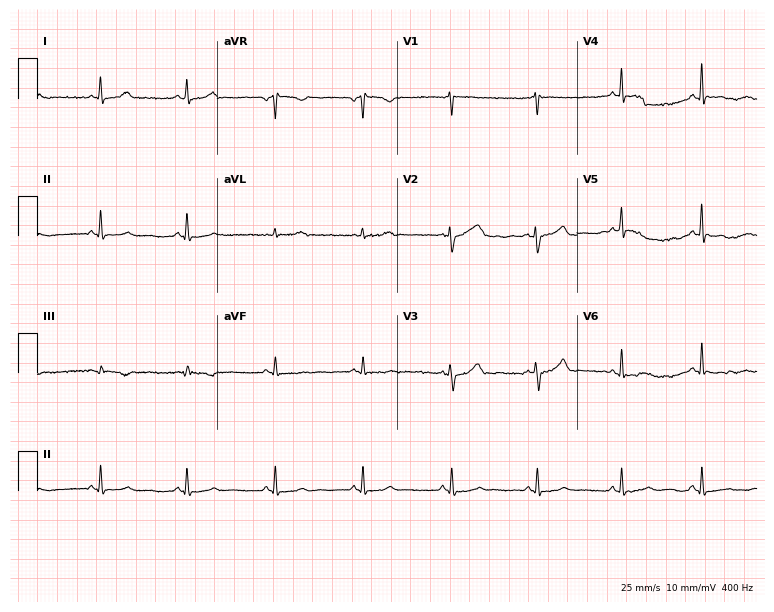
Resting 12-lead electrocardiogram. Patient: a 46-year-old female. None of these six findings is recorded: first-degree AV block, right bundle branch block, left bundle branch block, sinus bradycardia, atrial fibrillation, sinus tachycardia. Only these six findings were labelled.